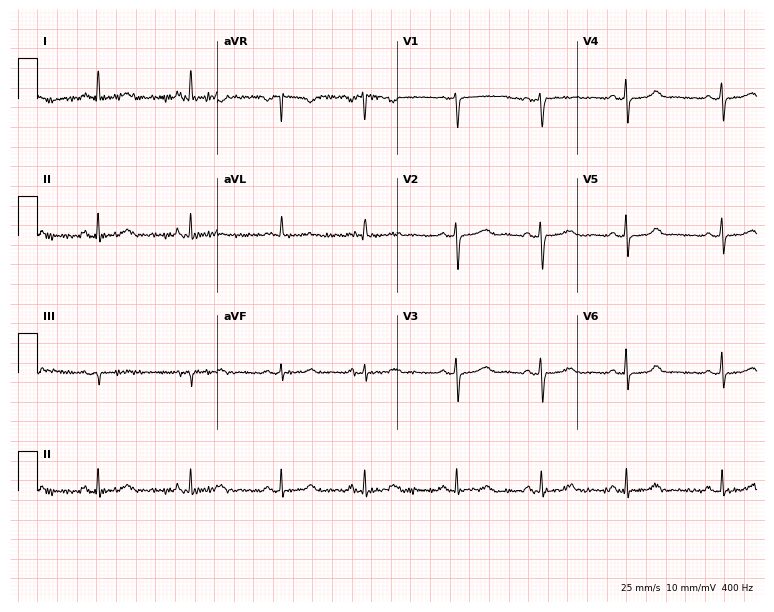
Resting 12-lead electrocardiogram. Patient: a 56-year-old woman. None of these six findings is recorded: first-degree AV block, right bundle branch block, left bundle branch block, sinus bradycardia, atrial fibrillation, sinus tachycardia. Findings outside these six are not listed.